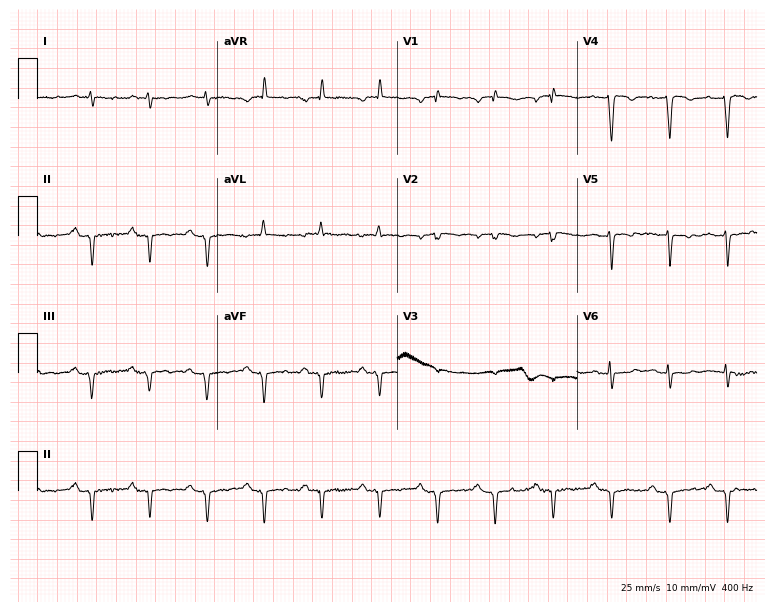
Resting 12-lead electrocardiogram (7.3-second recording at 400 Hz). Patient: a male, 82 years old. None of these six findings is recorded: first-degree AV block, right bundle branch block, left bundle branch block, sinus bradycardia, atrial fibrillation, sinus tachycardia. Other findings, if any, are not listed.